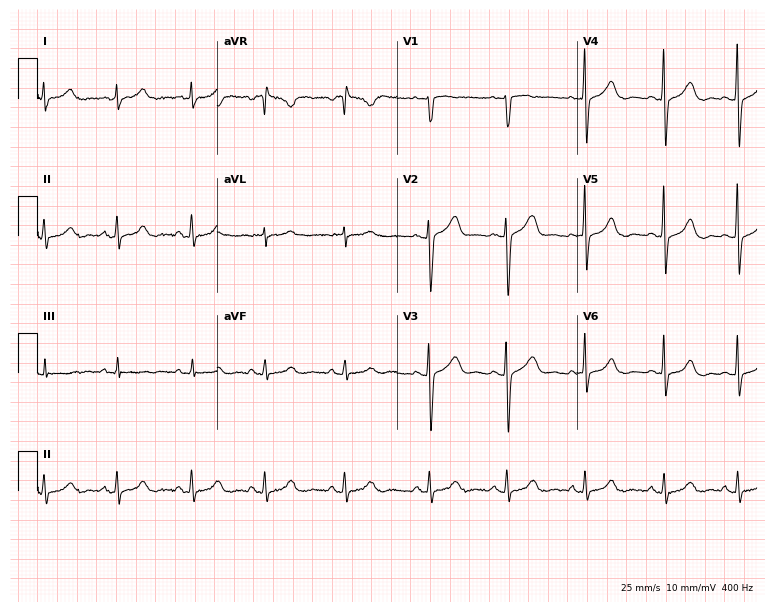
Resting 12-lead electrocardiogram. Patient: a woman, 28 years old. Read as a normal ECG.